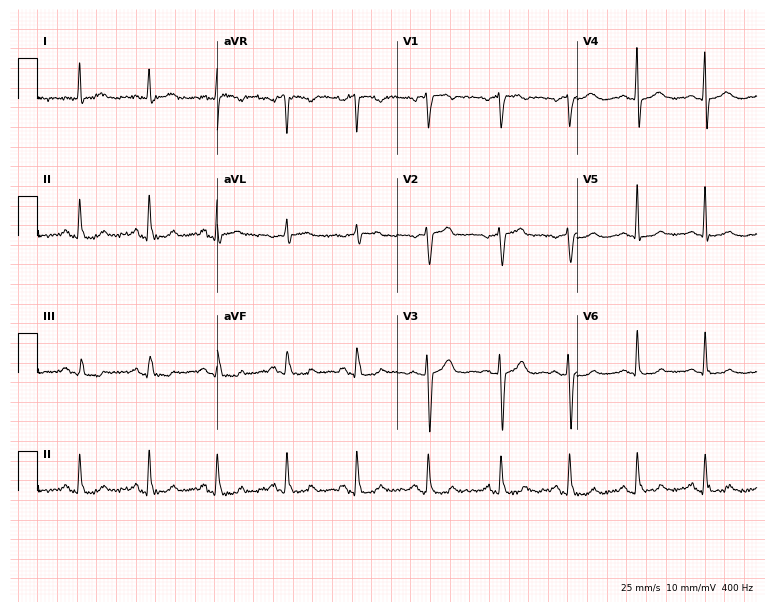
12-lead ECG from a female, 59 years old (7.3-second recording at 400 Hz). No first-degree AV block, right bundle branch block, left bundle branch block, sinus bradycardia, atrial fibrillation or sinus tachycardia recorded for this tracing.